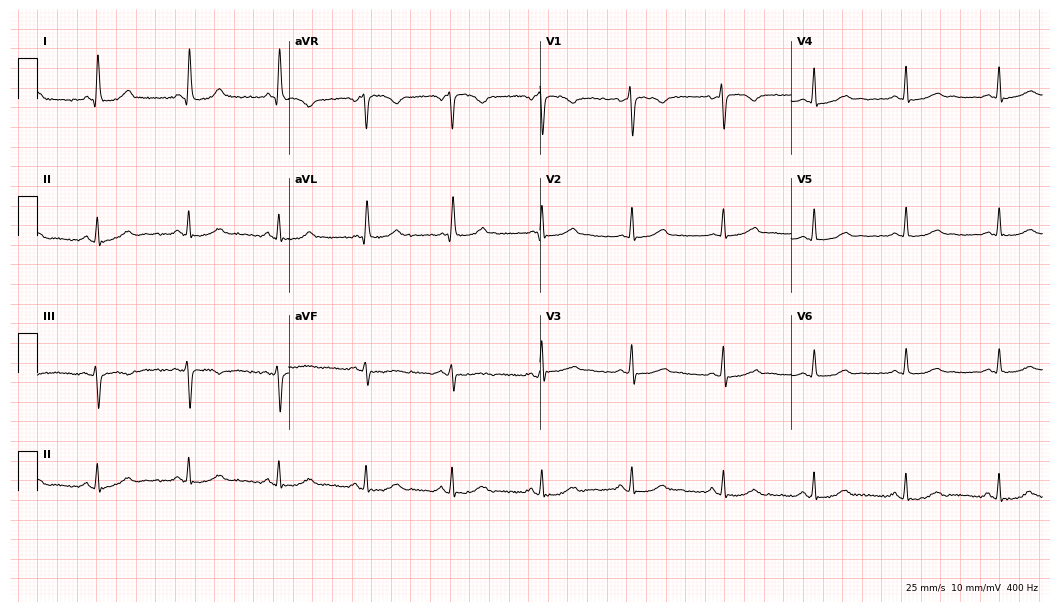
12-lead ECG (10.2-second recording at 400 Hz) from a woman, 47 years old. Labelled as a normal ECG.